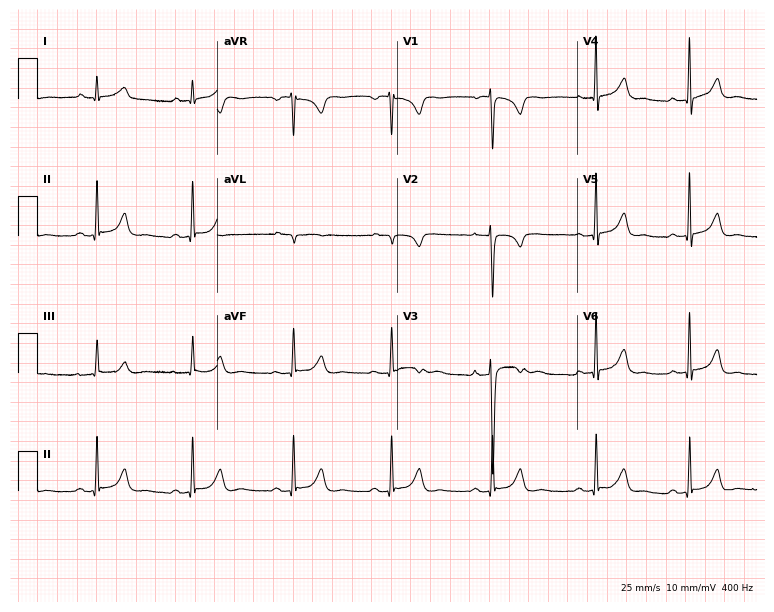
12-lead ECG from a 27-year-old female patient. Labelled as a normal ECG.